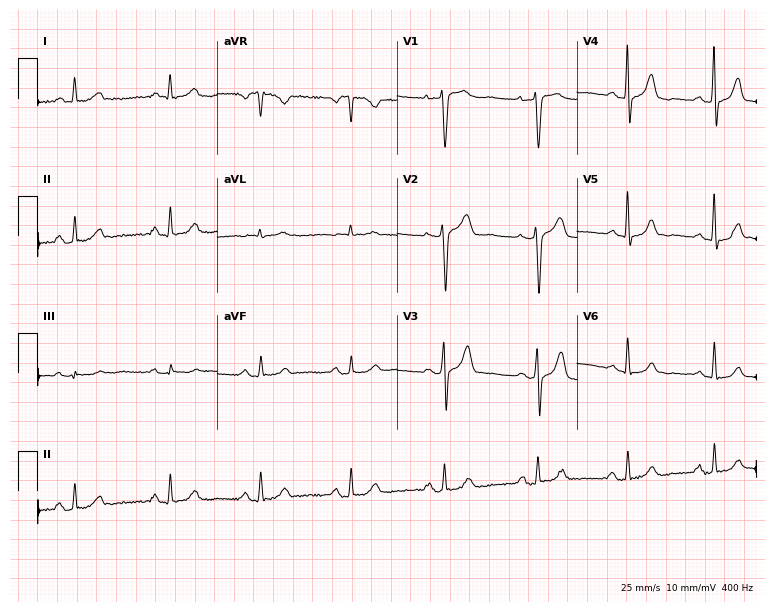
ECG (7.3-second recording at 400 Hz) — a 58-year-old woman. Screened for six findings — first-degree AV block, right bundle branch block (RBBB), left bundle branch block (LBBB), sinus bradycardia, atrial fibrillation (AF), sinus tachycardia — none is recorded. Other findings, if any, are not listed.